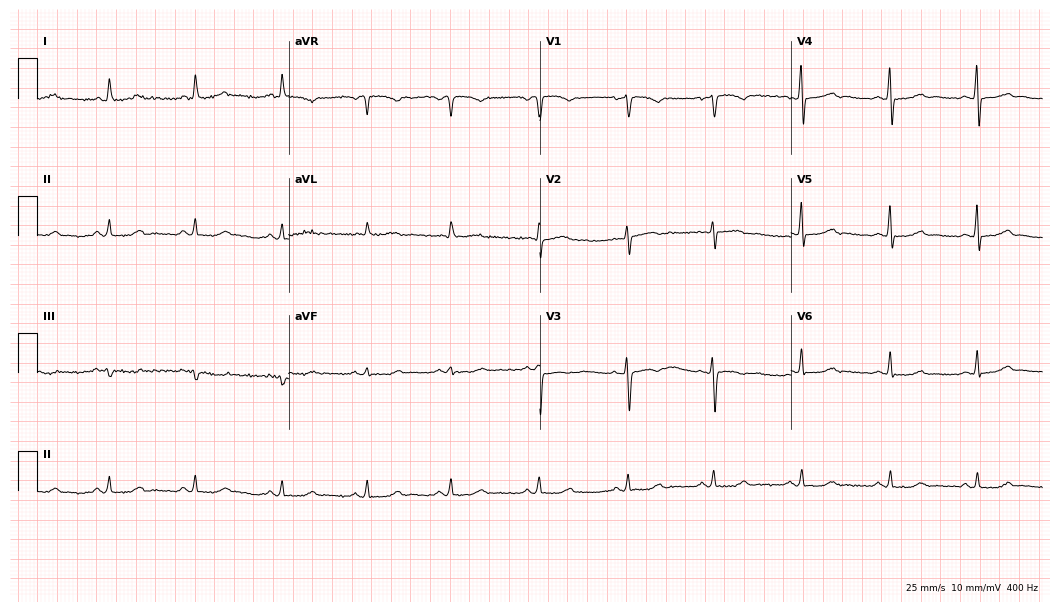
Electrocardiogram, a 54-year-old female. Overall reading on record: normal ECG.